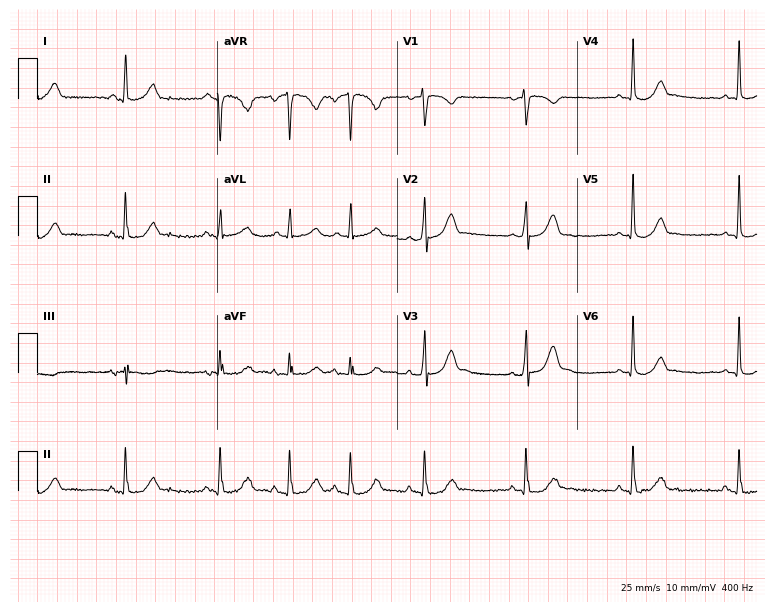
12-lead ECG from a 28-year-old female (7.3-second recording at 400 Hz). Recorded interpretation: within normal limits.